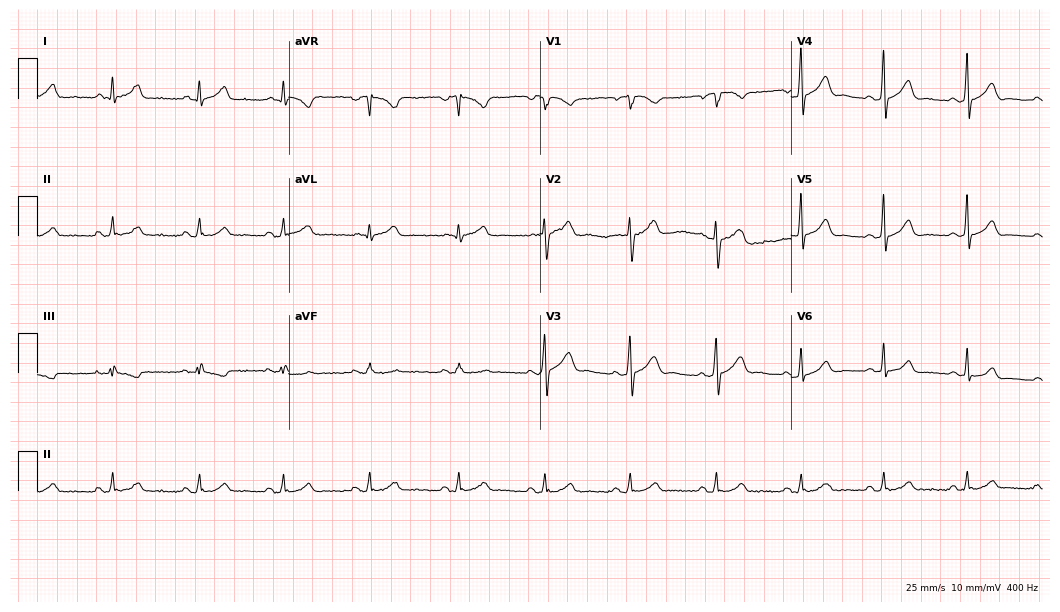
Standard 12-lead ECG recorded from a 36-year-old man. Read as a normal ECG.